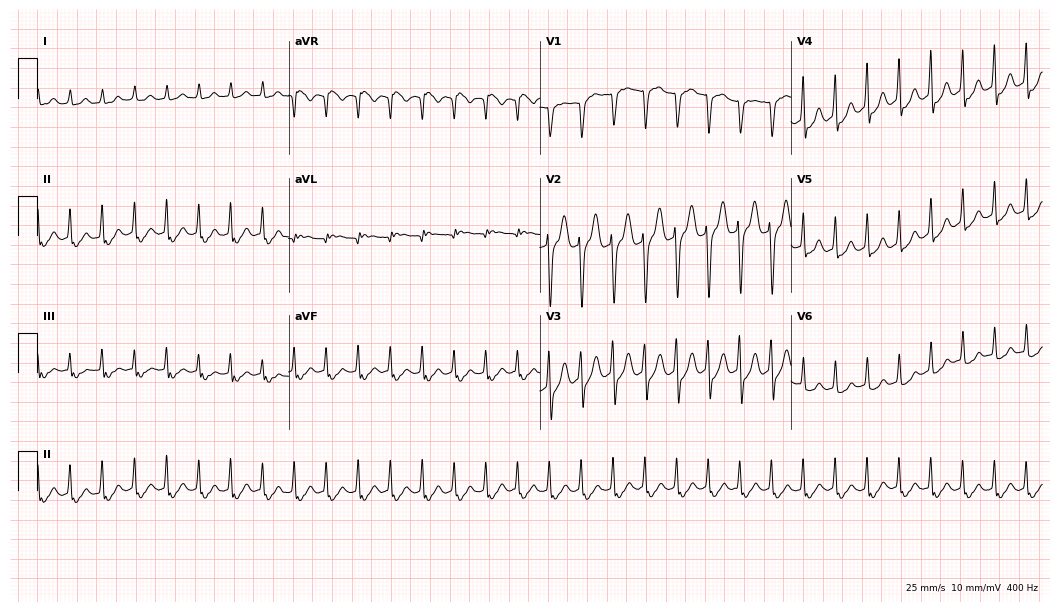
Resting 12-lead electrocardiogram. Patient: a female, 20 years old. None of these six findings is recorded: first-degree AV block, right bundle branch block, left bundle branch block, sinus bradycardia, atrial fibrillation, sinus tachycardia.